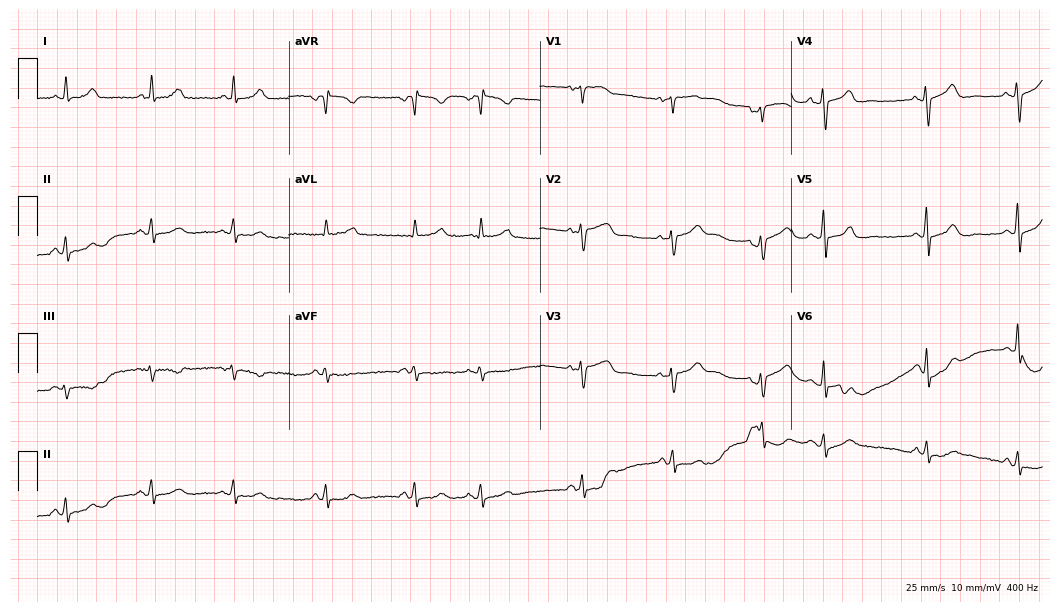
Electrocardiogram, a 68-year-old female. Of the six screened findings (first-degree AV block, right bundle branch block (RBBB), left bundle branch block (LBBB), sinus bradycardia, atrial fibrillation (AF), sinus tachycardia), none is recorded. Findings outside these six are not listed.